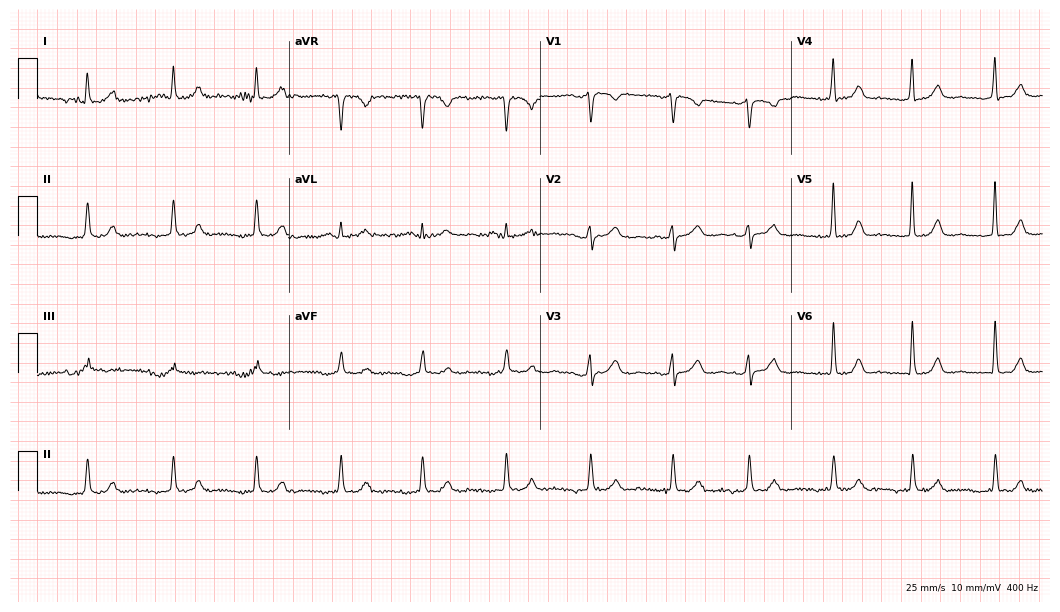
ECG — a 46-year-old female. Screened for six findings — first-degree AV block, right bundle branch block, left bundle branch block, sinus bradycardia, atrial fibrillation, sinus tachycardia — none is recorded. Other findings, if any, are not listed.